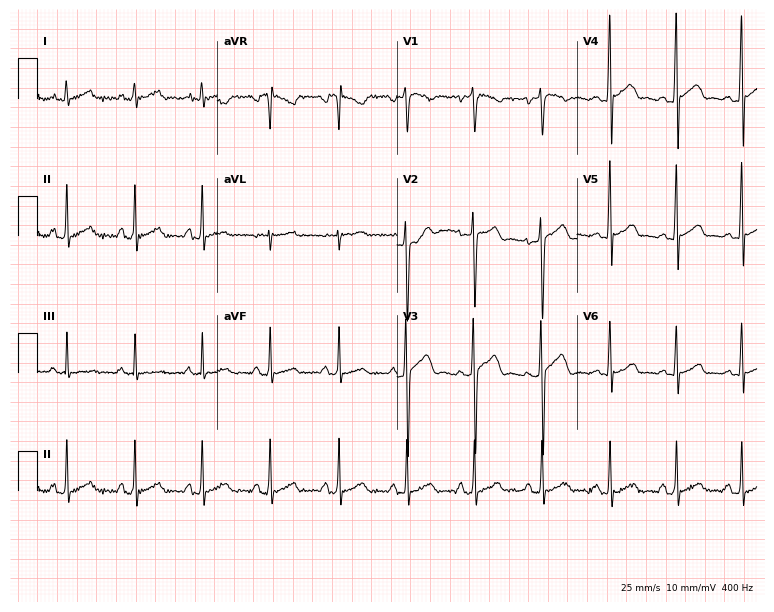
Resting 12-lead electrocardiogram (7.3-second recording at 400 Hz). Patient: a male, 20 years old. None of these six findings is recorded: first-degree AV block, right bundle branch block, left bundle branch block, sinus bradycardia, atrial fibrillation, sinus tachycardia.